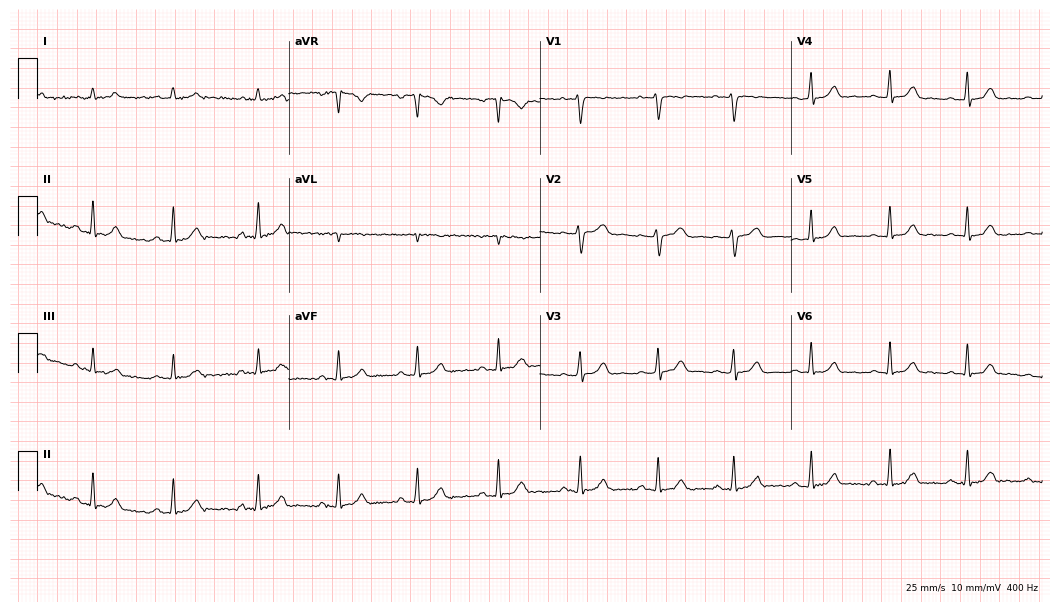
Electrocardiogram (10.2-second recording at 400 Hz), a 30-year-old female. Of the six screened findings (first-degree AV block, right bundle branch block (RBBB), left bundle branch block (LBBB), sinus bradycardia, atrial fibrillation (AF), sinus tachycardia), none is recorded.